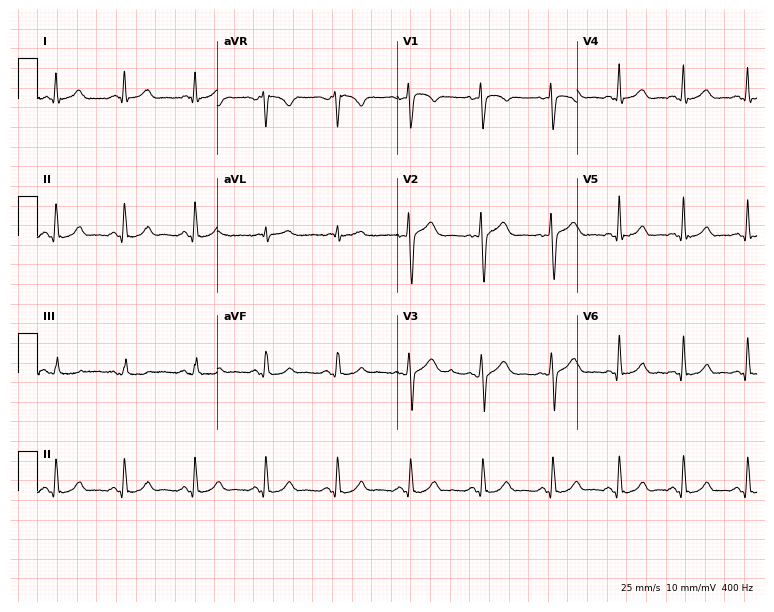
12-lead ECG (7.3-second recording at 400 Hz) from a 28-year-old male patient. Screened for six findings — first-degree AV block, right bundle branch block, left bundle branch block, sinus bradycardia, atrial fibrillation, sinus tachycardia — none is recorded.